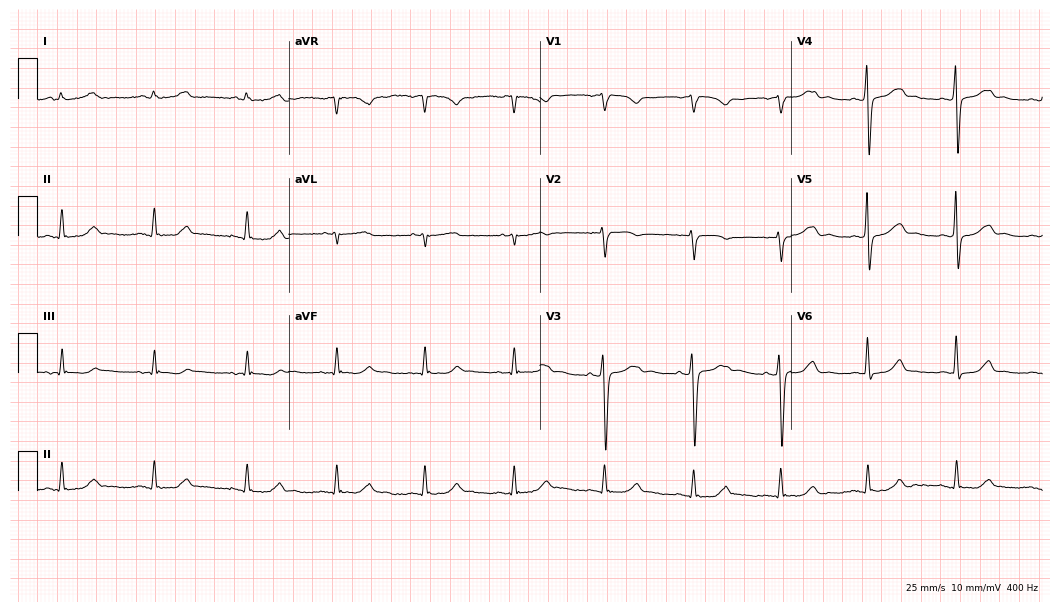
Standard 12-lead ECG recorded from a 61-year-old female. None of these six findings is recorded: first-degree AV block, right bundle branch block (RBBB), left bundle branch block (LBBB), sinus bradycardia, atrial fibrillation (AF), sinus tachycardia.